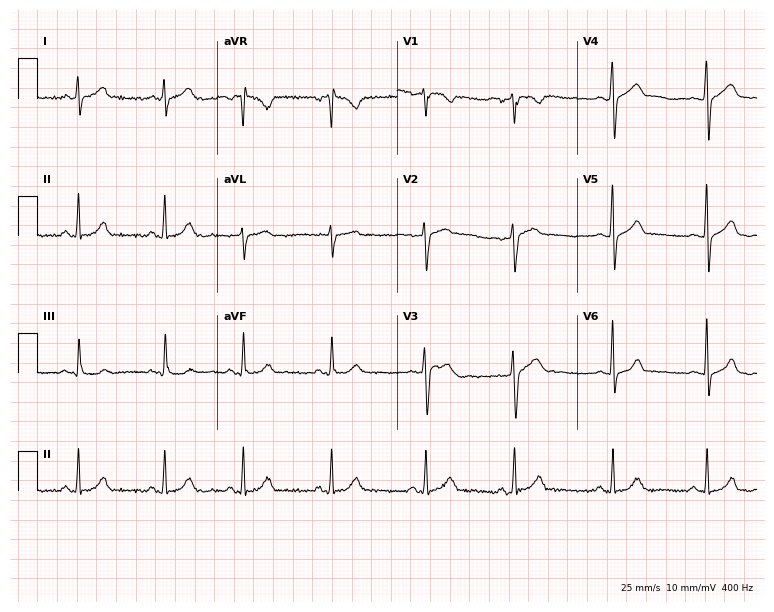
12-lead ECG from a 39-year-old woman. Recorded interpretation: within normal limits.